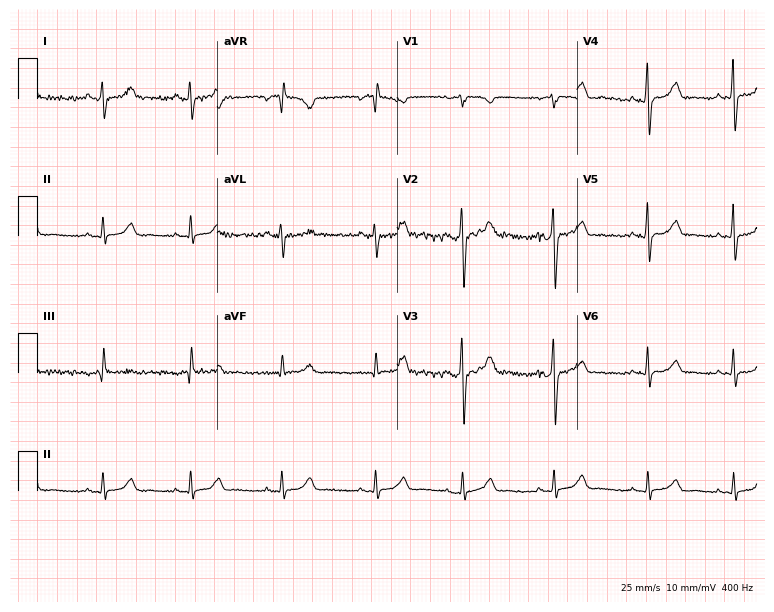
12-lead ECG from a female patient, 39 years old. Labelled as a normal ECG.